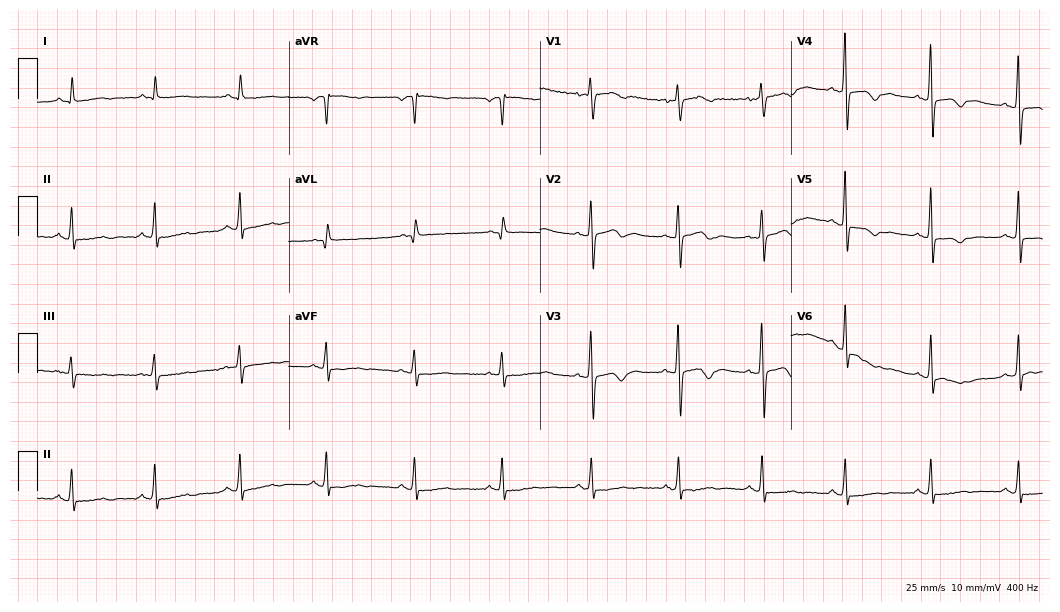
12-lead ECG from a female, 64 years old (10.2-second recording at 400 Hz). No first-degree AV block, right bundle branch block, left bundle branch block, sinus bradycardia, atrial fibrillation or sinus tachycardia recorded for this tracing. Findings outside these six are not listed.